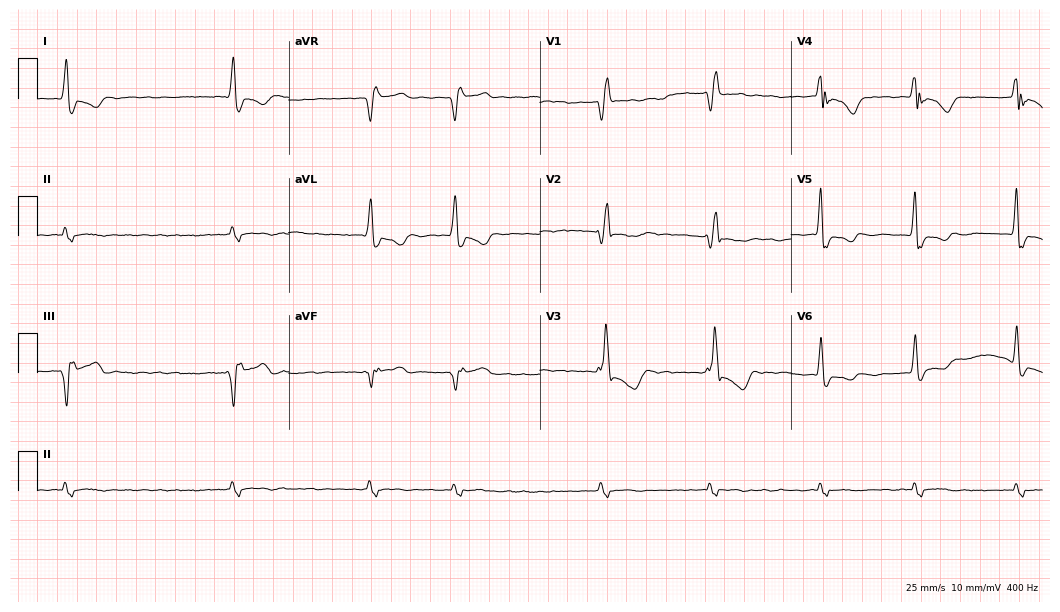
ECG (10.2-second recording at 400 Hz) — an 85-year-old man. Findings include right bundle branch block, atrial fibrillation.